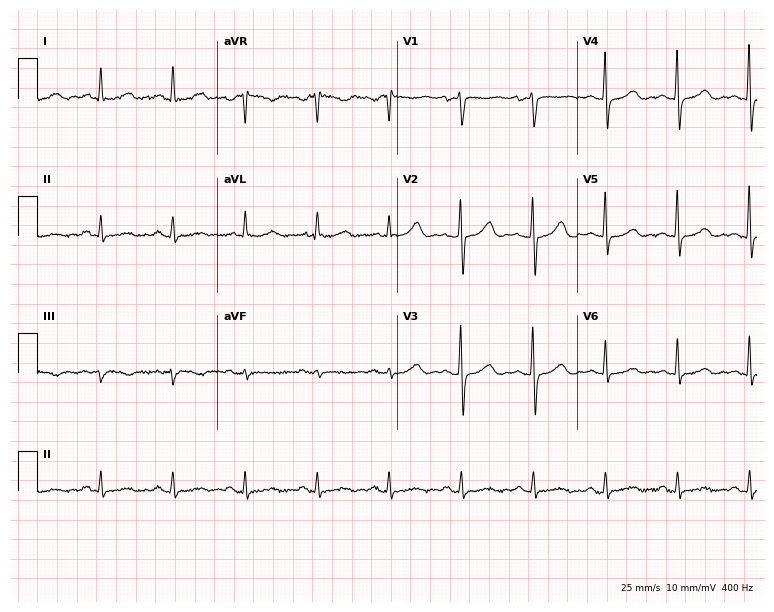
Resting 12-lead electrocardiogram. Patient: a 64-year-old woman. Read as a normal ECG.